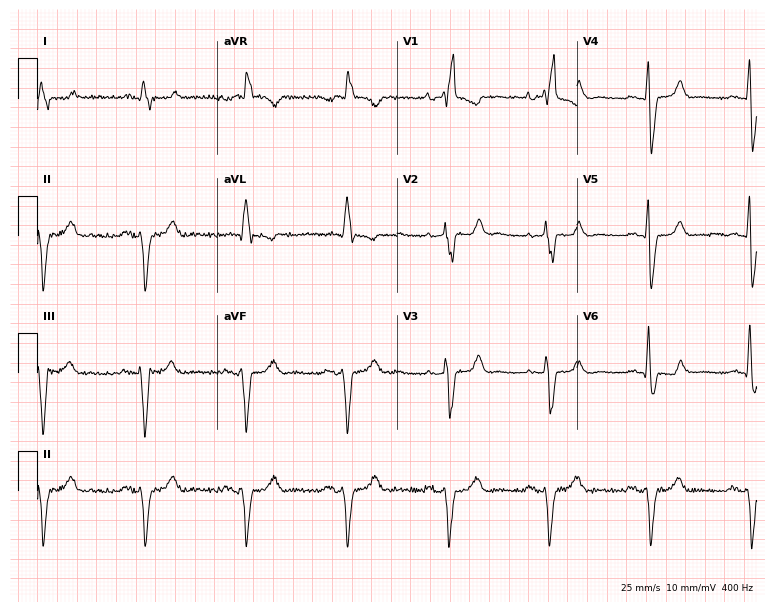
Electrocardiogram (7.3-second recording at 400 Hz), a male patient, 76 years old. Interpretation includes right bundle branch block (RBBB).